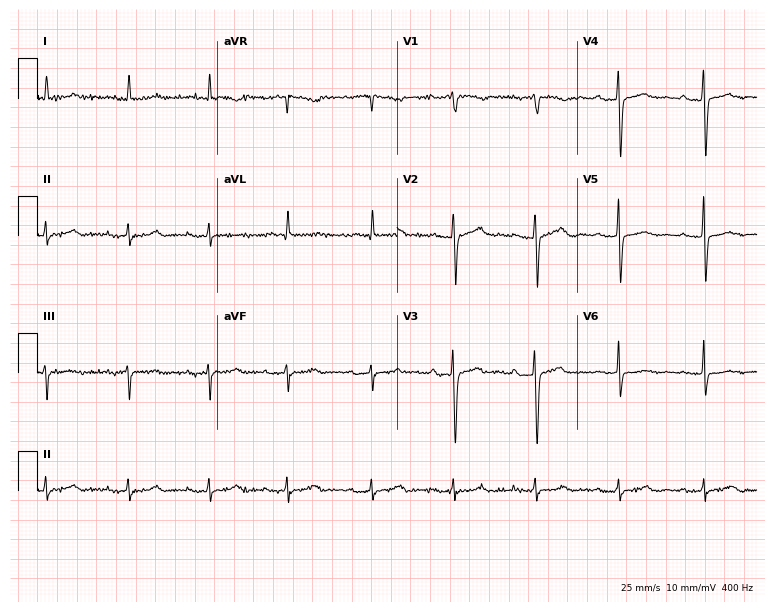
ECG (7.3-second recording at 400 Hz) — a male patient, 83 years old. Labelled as a normal ECG.